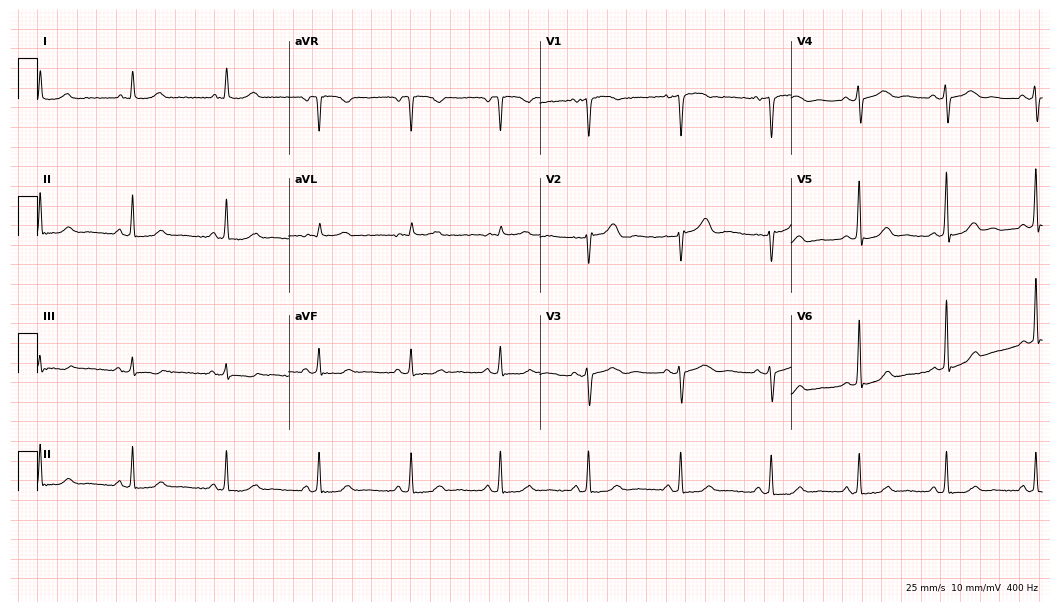
ECG (10.2-second recording at 400 Hz) — a woman, 53 years old. Labelled as a normal ECG.